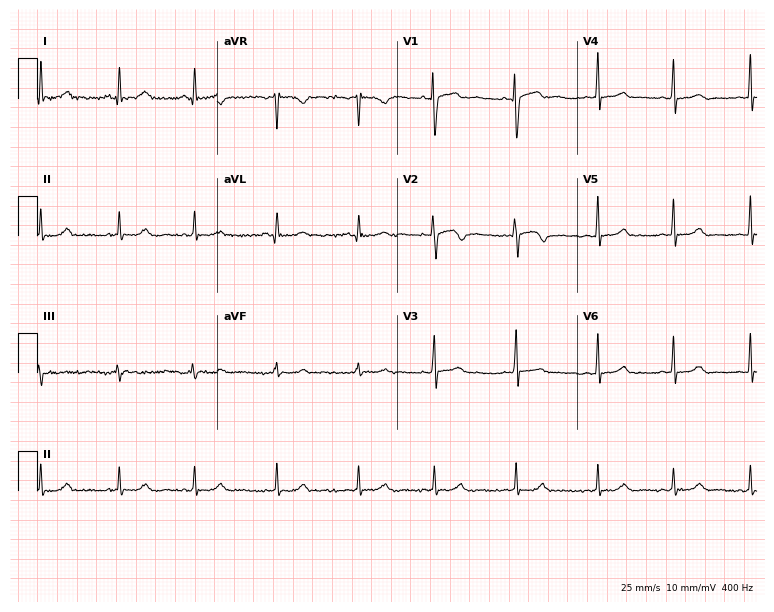
12-lead ECG from an 18-year-old woman. Recorded interpretation: within normal limits.